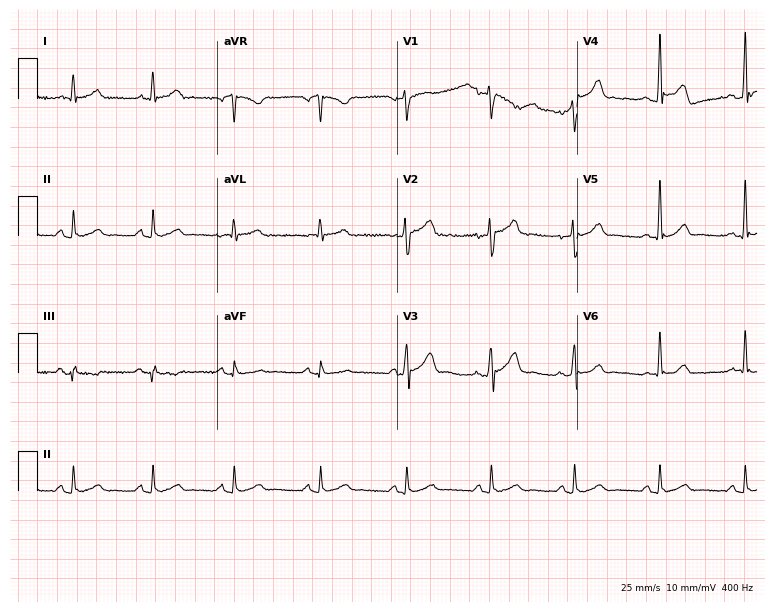
Resting 12-lead electrocardiogram. Patient: a 42-year-old man. None of these six findings is recorded: first-degree AV block, right bundle branch block, left bundle branch block, sinus bradycardia, atrial fibrillation, sinus tachycardia. Findings outside these six are not listed.